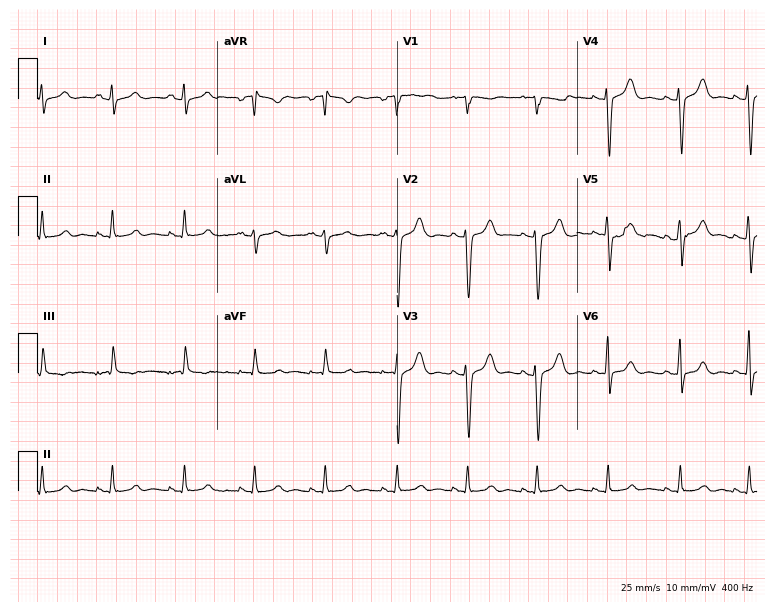
ECG — a female, 26 years old. Screened for six findings — first-degree AV block, right bundle branch block (RBBB), left bundle branch block (LBBB), sinus bradycardia, atrial fibrillation (AF), sinus tachycardia — none is recorded.